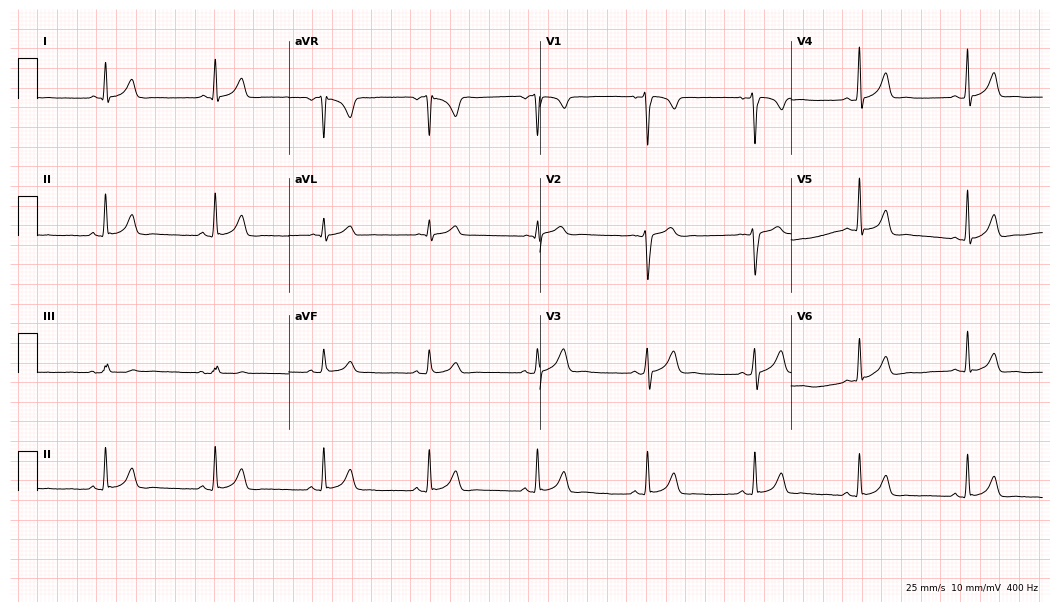
ECG — a 20-year-old male patient. Labelled as a normal ECG.